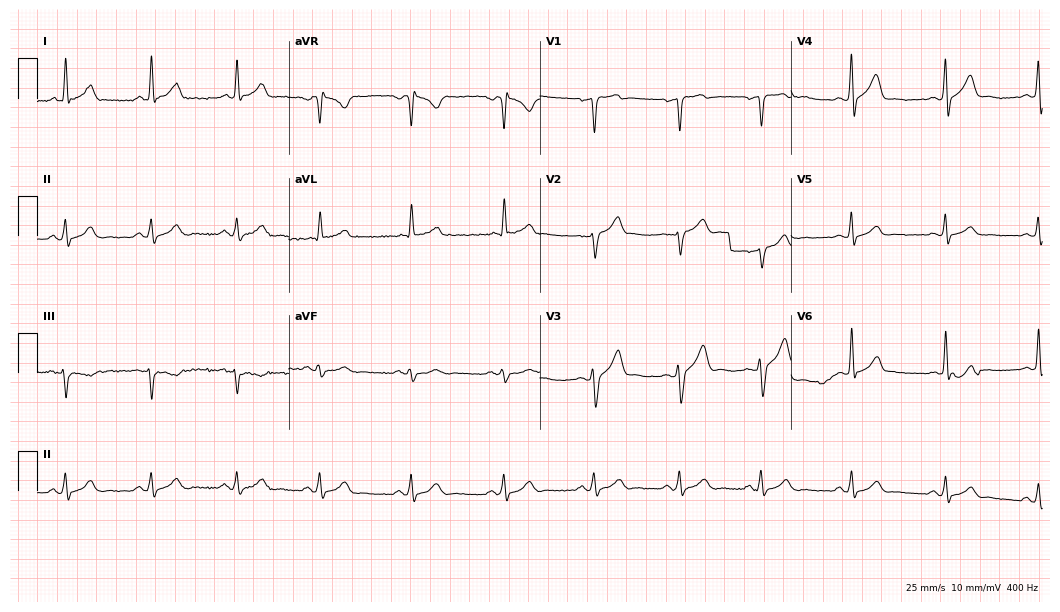
12-lead ECG from a 49-year-old man. Labelled as a normal ECG.